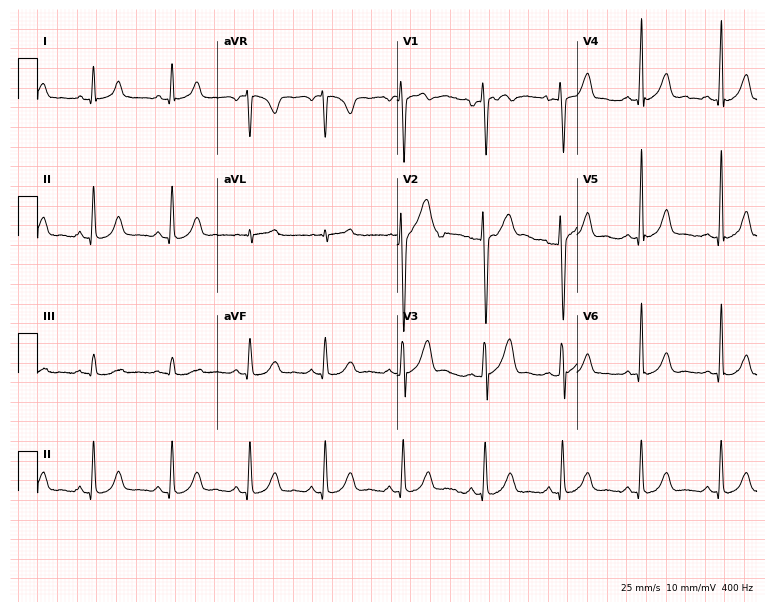
Resting 12-lead electrocardiogram (7.3-second recording at 400 Hz). Patient: a female, 32 years old. Read as a normal ECG.